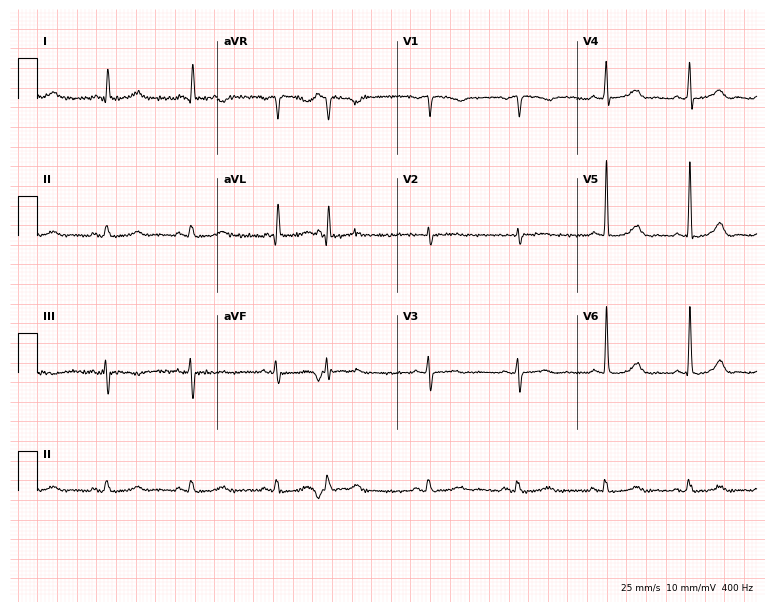
Resting 12-lead electrocardiogram (7.3-second recording at 400 Hz). Patient: a woman, 80 years old. None of these six findings is recorded: first-degree AV block, right bundle branch block, left bundle branch block, sinus bradycardia, atrial fibrillation, sinus tachycardia.